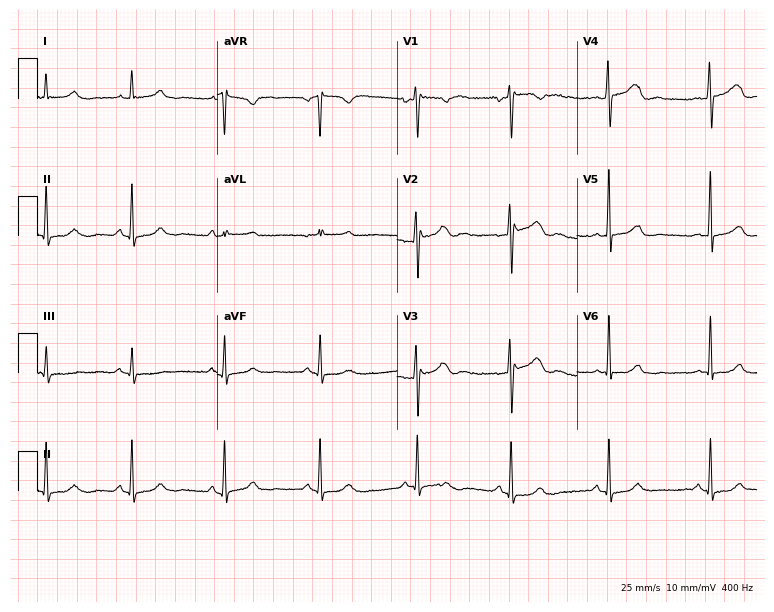
ECG (7.3-second recording at 400 Hz) — a female patient, 35 years old. Labelled as a normal ECG.